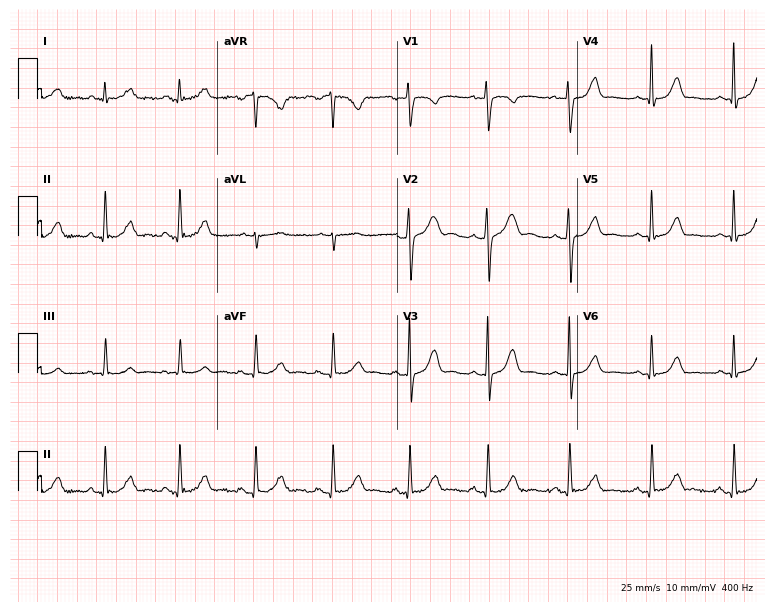
Standard 12-lead ECG recorded from a female, 38 years old (7.3-second recording at 400 Hz). Read as a normal ECG.